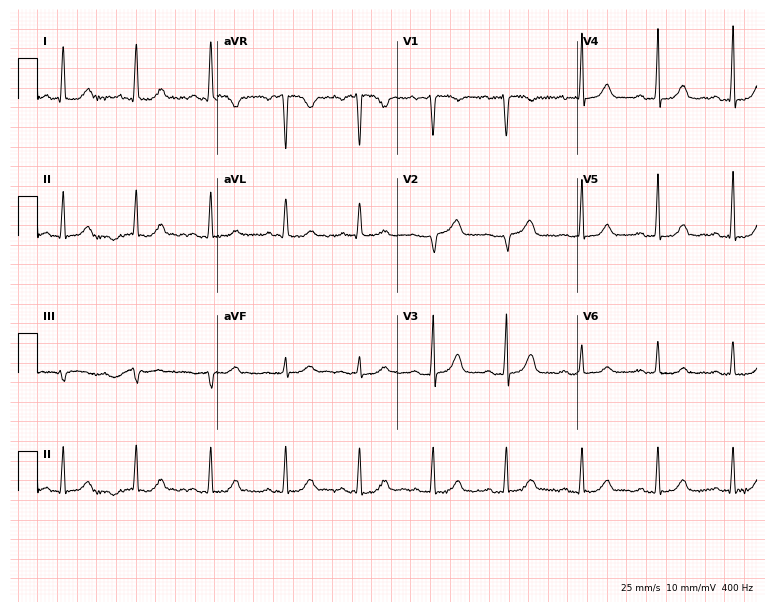
Resting 12-lead electrocardiogram (7.3-second recording at 400 Hz). Patient: a 57-year-old female. Read as a normal ECG.